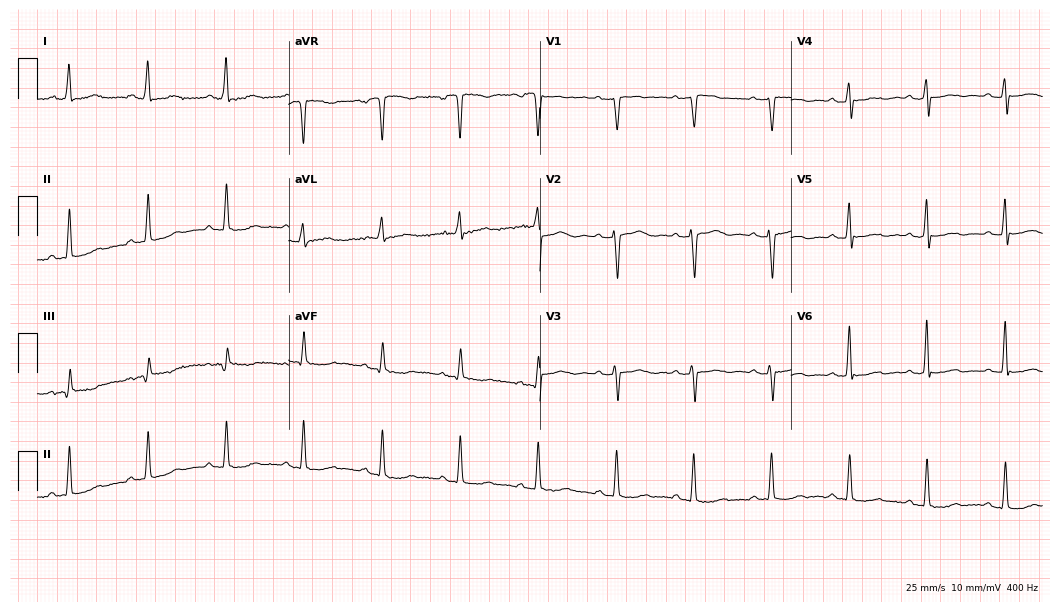
ECG (10.2-second recording at 400 Hz) — a female patient, 62 years old. Labelled as a normal ECG.